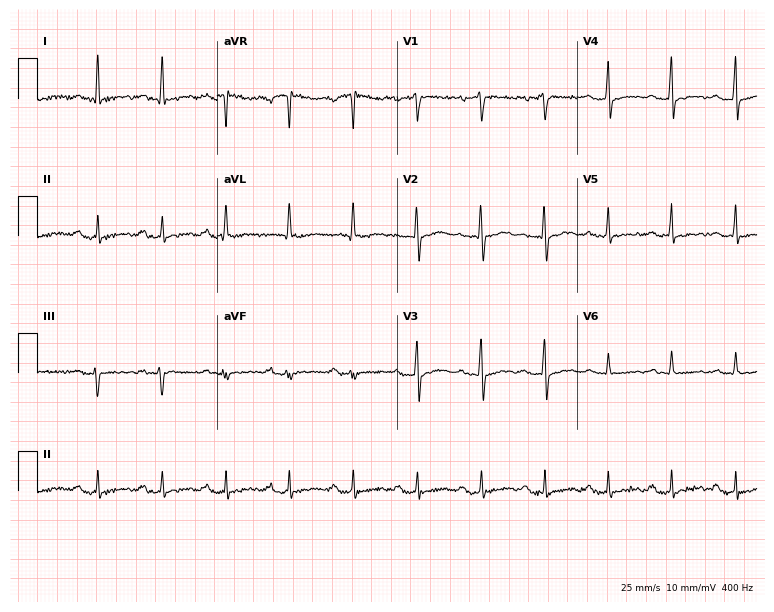
Electrocardiogram, a woman, 52 years old. Interpretation includes first-degree AV block.